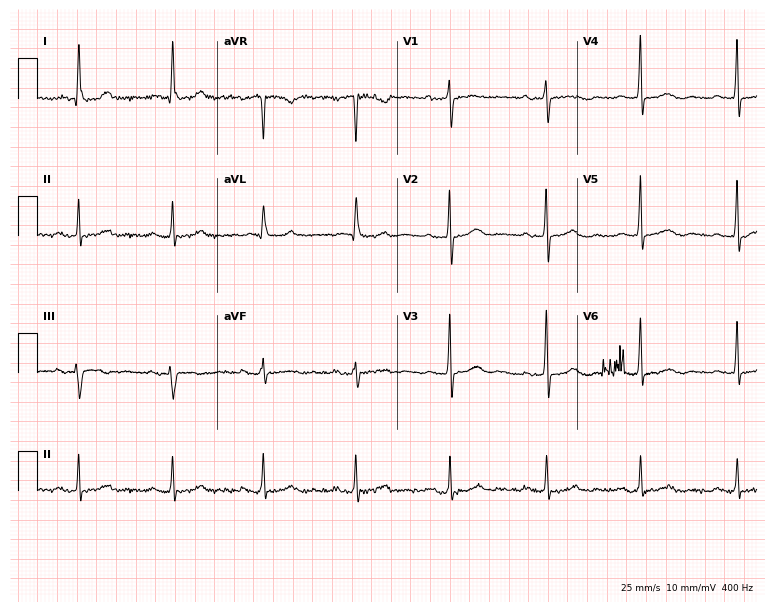
12-lead ECG (7.3-second recording at 400 Hz) from a 79-year-old woman. Screened for six findings — first-degree AV block, right bundle branch block, left bundle branch block, sinus bradycardia, atrial fibrillation, sinus tachycardia — none is recorded.